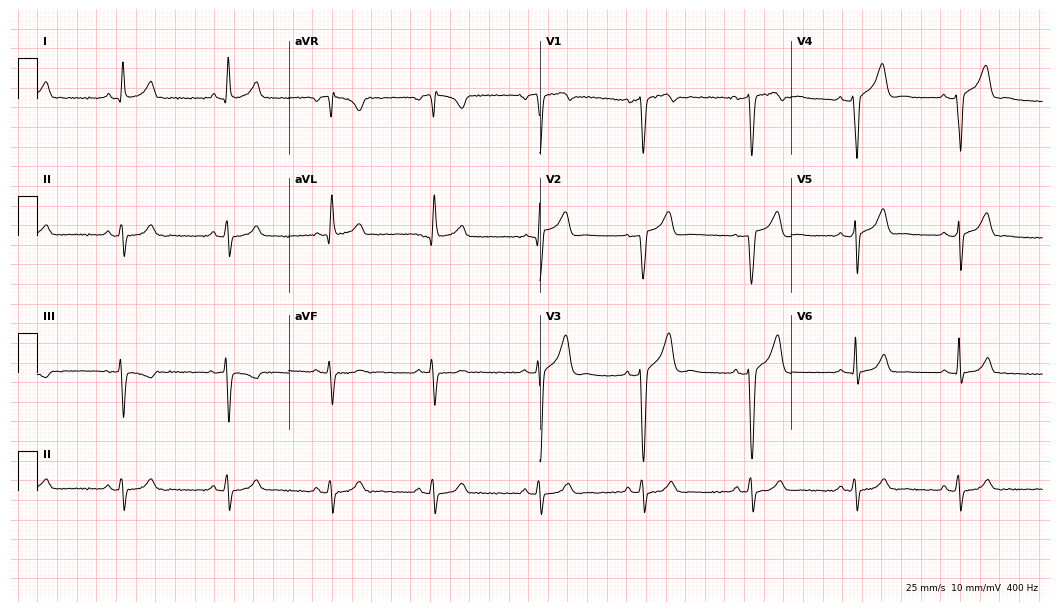
Resting 12-lead electrocardiogram (10.2-second recording at 400 Hz). Patient: a male, 46 years old. Read as a normal ECG.